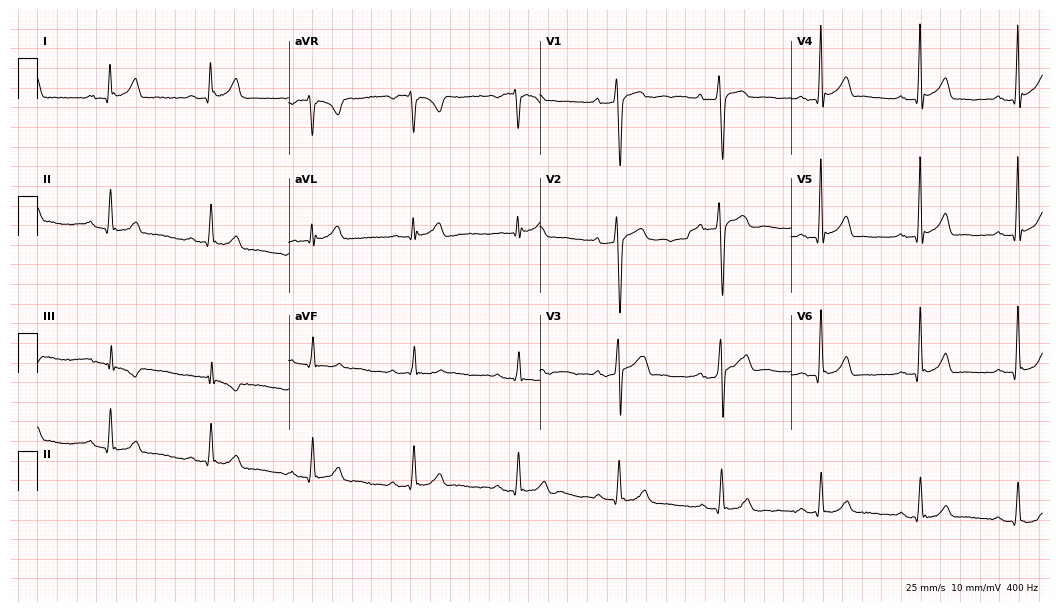
ECG (10.2-second recording at 400 Hz) — a 42-year-old male patient. Screened for six findings — first-degree AV block, right bundle branch block, left bundle branch block, sinus bradycardia, atrial fibrillation, sinus tachycardia — none is recorded. Other findings, if any, are not listed.